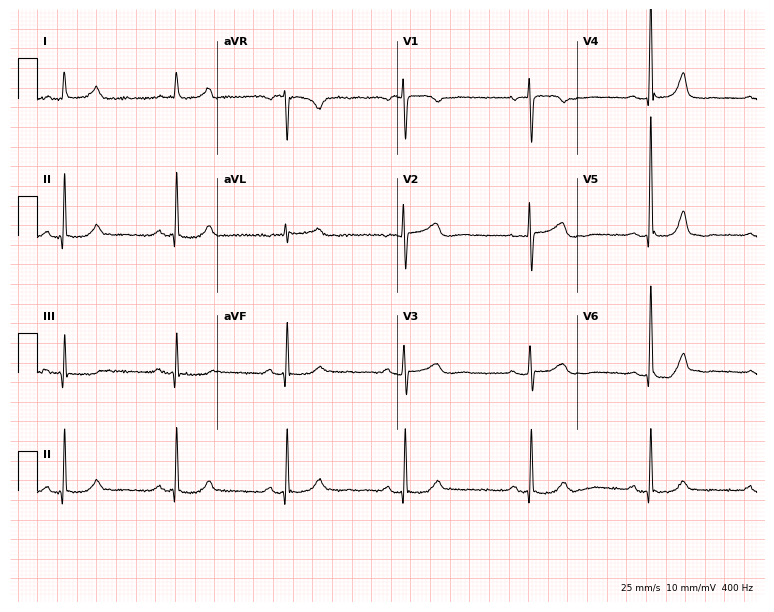
Standard 12-lead ECG recorded from a 76-year-old female (7.3-second recording at 400 Hz). The tracing shows sinus bradycardia (a sinus rate of 50 beats per minute or less).